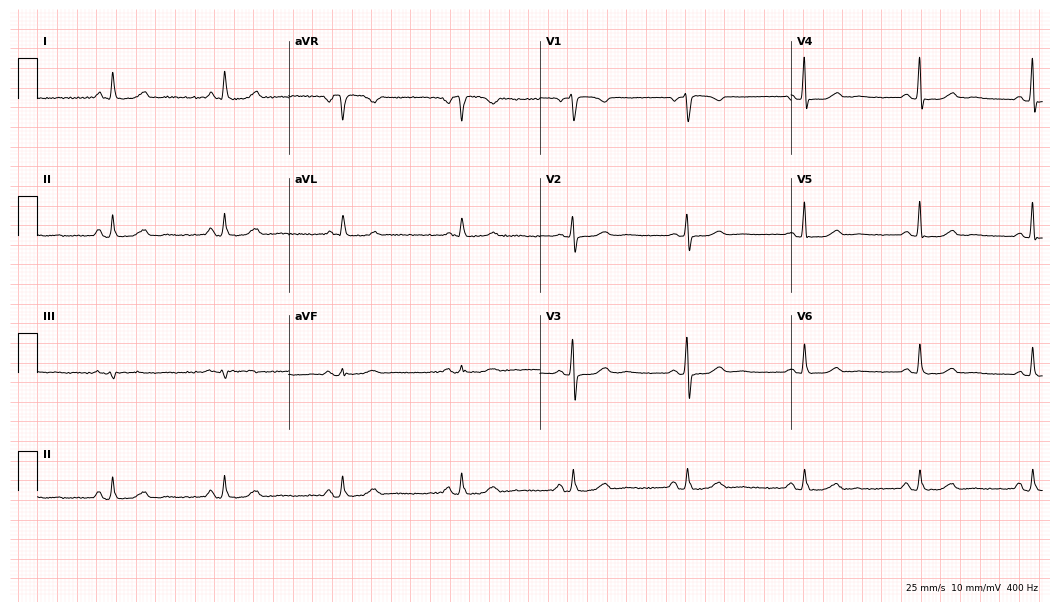
ECG — a female patient, 49 years old. Labelled as a normal ECG.